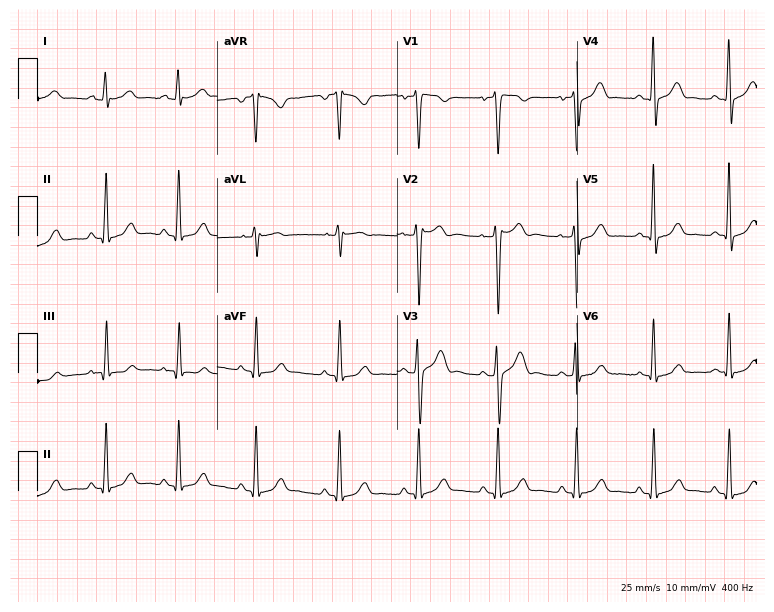
ECG (7.3-second recording at 400 Hz) — a male, 26 years old. Screened for six findings — first-degree AV block, right bundle branch block, left bundle branch block, sinus bradycardia, atrial fibrillation, sinus tachycardia — none is recorded.